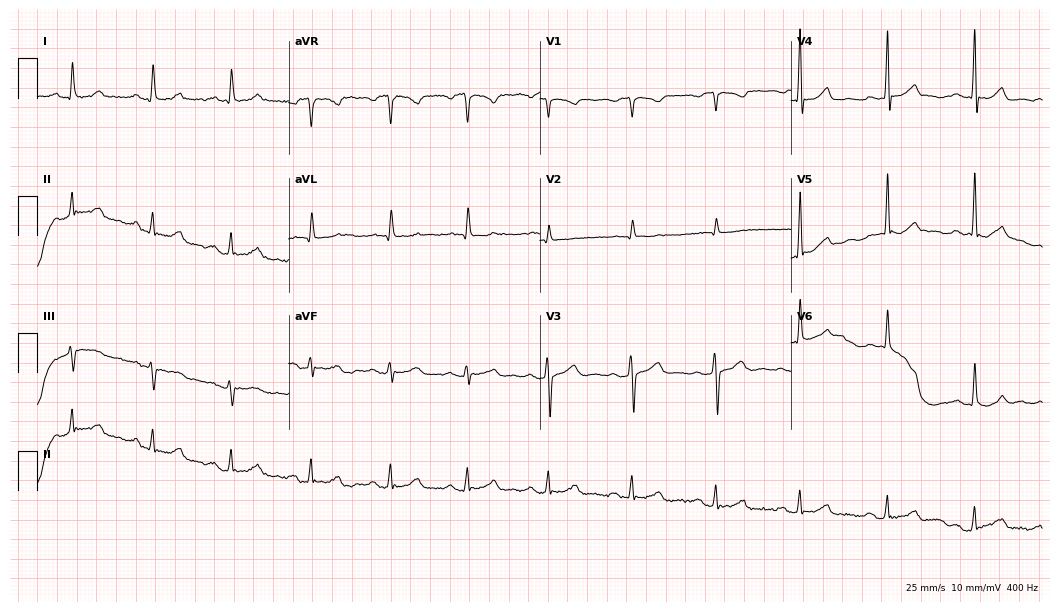
12-lead ECG (10.2-second recording at 400 Hz) from a 53-year-old male. Labelled as a normal ECG.